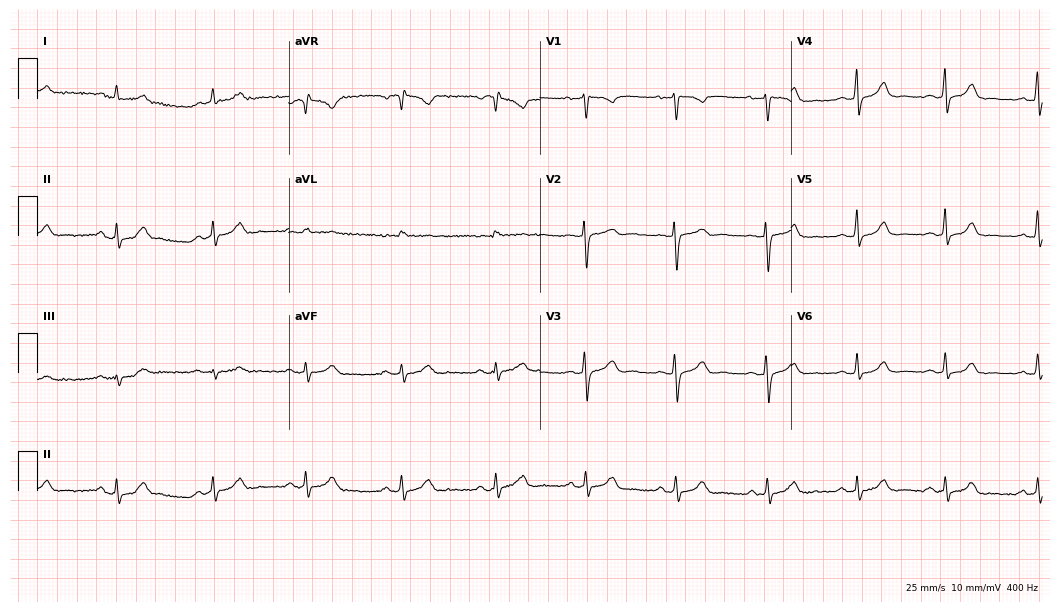
Resting 12-lead electrocardiogram (10.2-second recording at 400 Hz). Patient: a female, 31 years old. Read as a normal ECG.